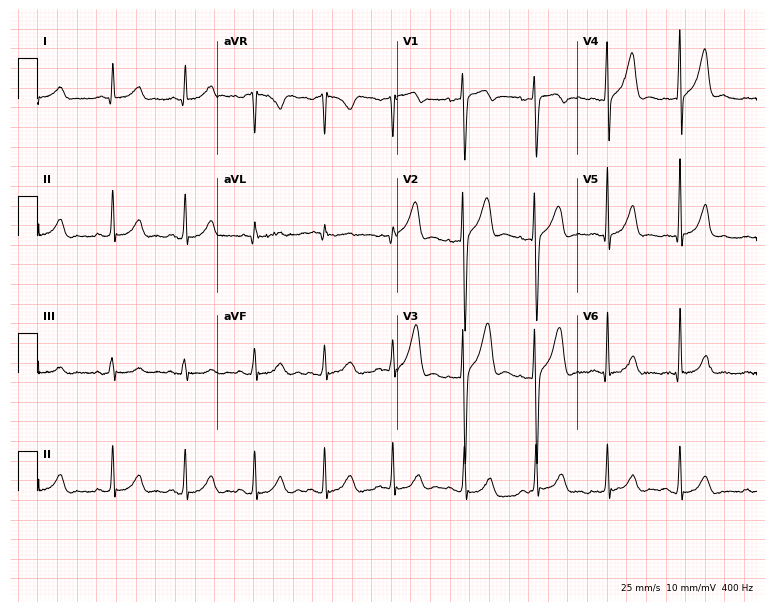
12-lead ECG from a 37-year-old male patient. Screened for six findings — first-degree AV block, right bundle branch block, left bundle branch block, sinus bradycardia, atrial fibrillation, sinus tachycardia — none is recorded.